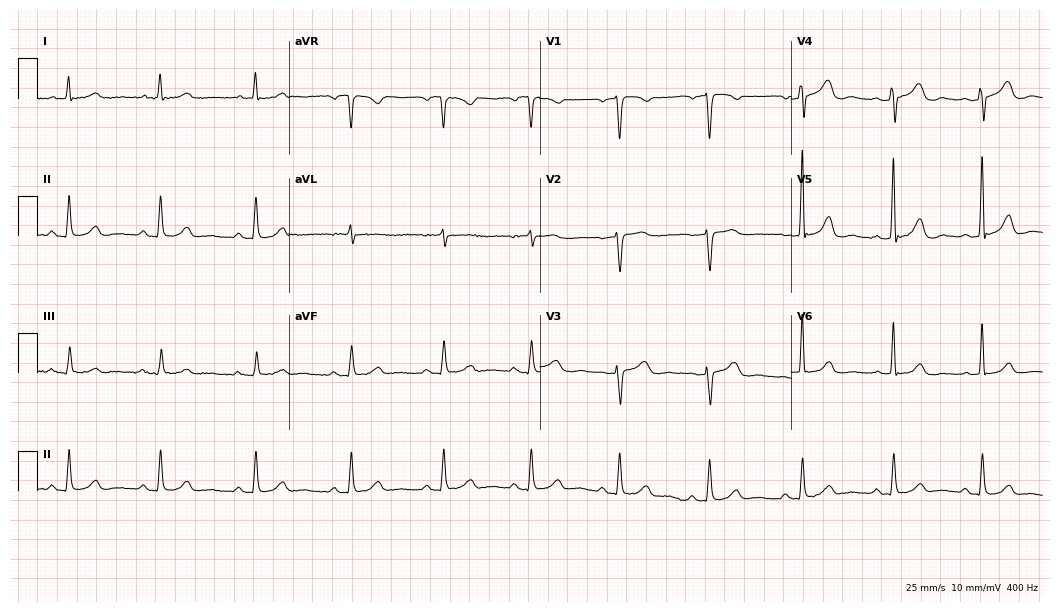
ECG (10.2-second recording at 400 Hz) — a female, 54 years old. Screened for six findings — first-degree AV block, right bundle branch block (RBBB), left bundle branch block (LBBB), sinus bradycardia, atrial fibrillation (AF), sinus tachycardia — none is recorded. Only these six findings were labelled.